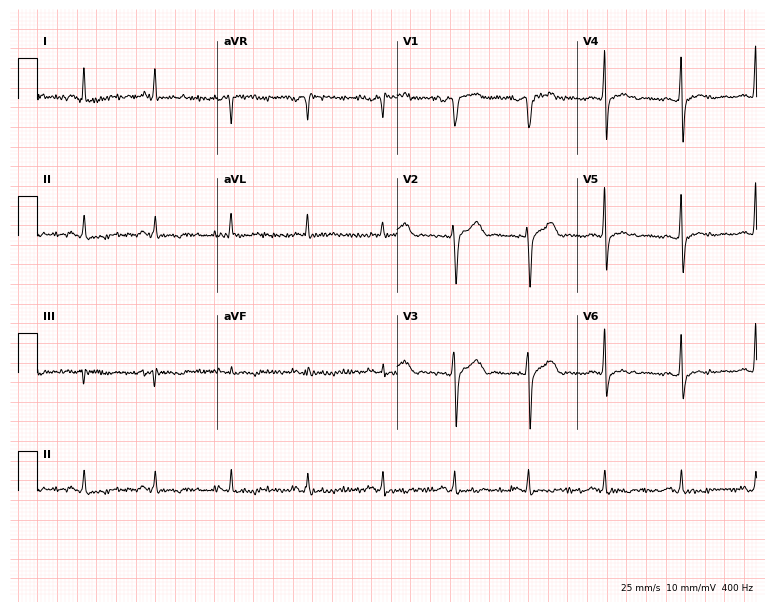
12-lead ECG from a 53-year-old male patient. No first-degree AV block, right bundle branch block, left bundle branch block, sinus bradycardia, atrial fibrillation or sinus tachycardia recorded for this tracing.